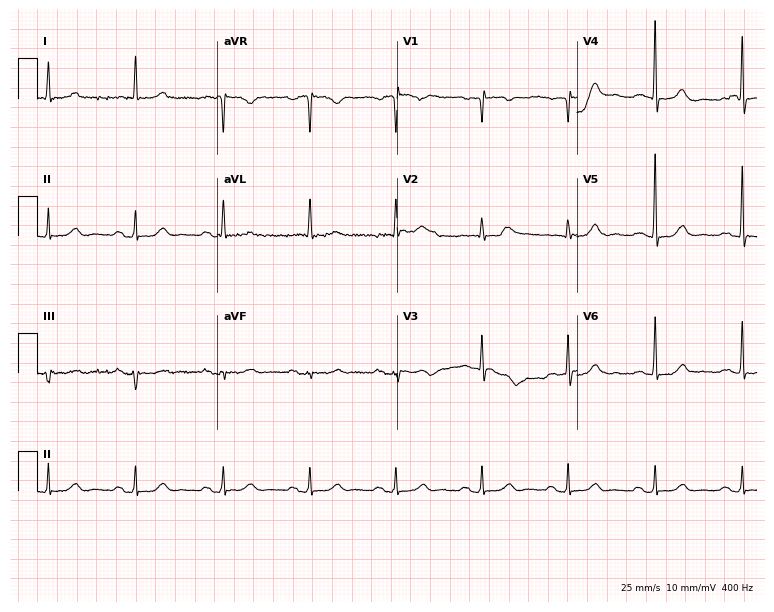
12-lead ECG from an 81-year-old man (7.3-second recording at 400 Hz). Recorded interpretation: within normal limits.